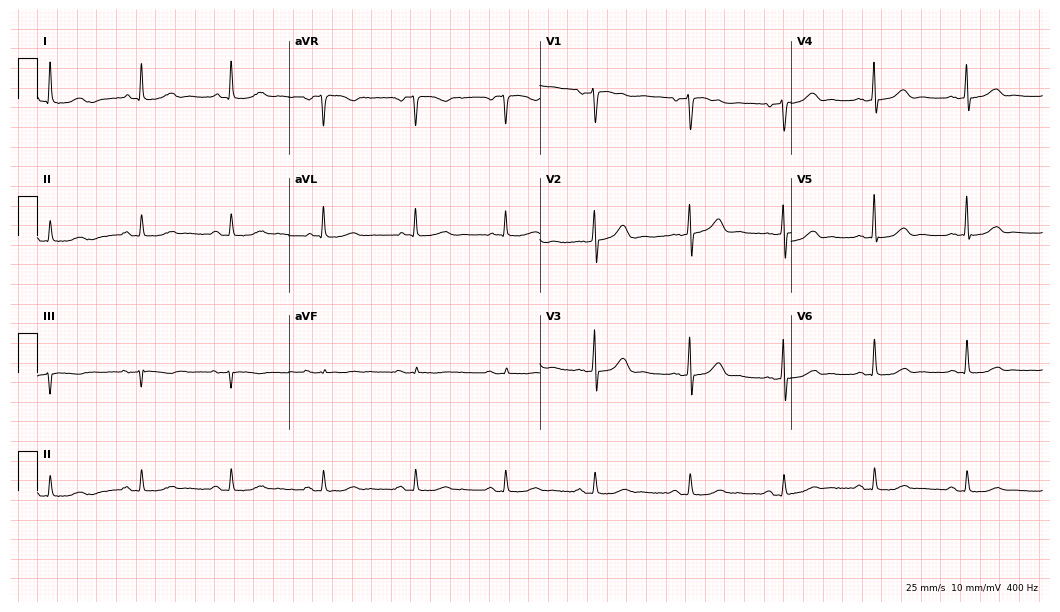
Resting 12-lead electrocardiogram. Patient: a 59-year-old female. Read as a normal ECG.